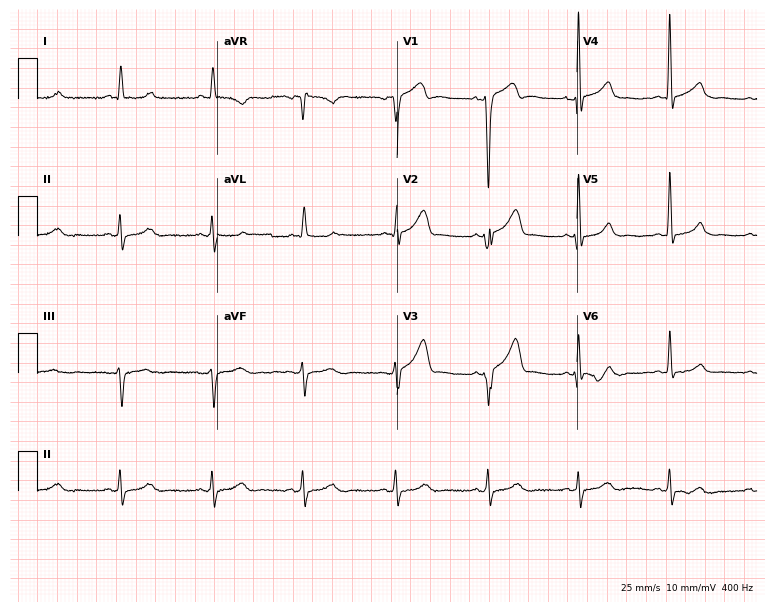
12-lead ECG from a male, 53 years old (7.3-second recording at 400 Hz). No first-degree AV block, right bundle branch block, left bundle branch block, sinus bradycardia, atrial fibrillation or sinus tachycardia recorded for this tracing. Findings outside these six are not listed.